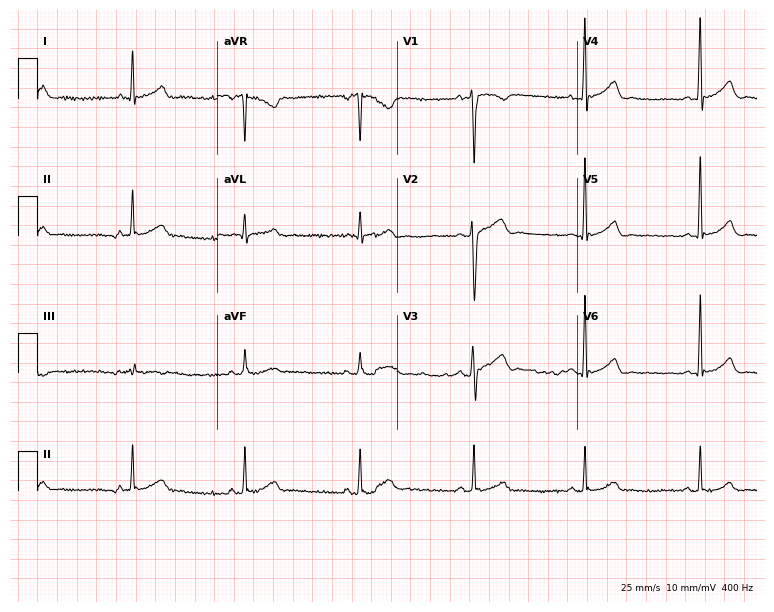
12-lead ECG (7.3-second recording at 400 Hz) from a man, 32 years old. Labelled as a normal ECG.